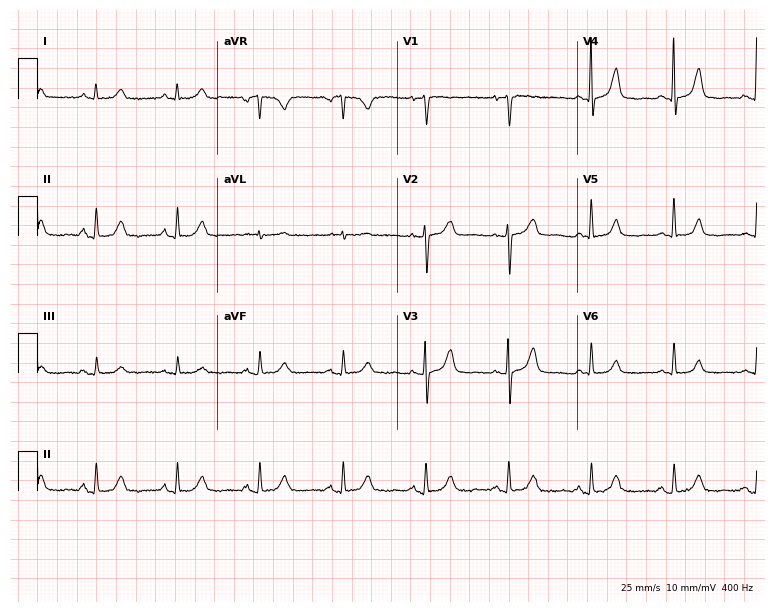
ECG (7.3-second recording at 400 Hz) — an 81-year-old female. Screened for six findings — first-degree AV block, right bundle branch block, left bundle branch block, sinus bradycardia, atrial fibrillation, sinus tachycardia — none is recorded. Findings outside these six are not listed.